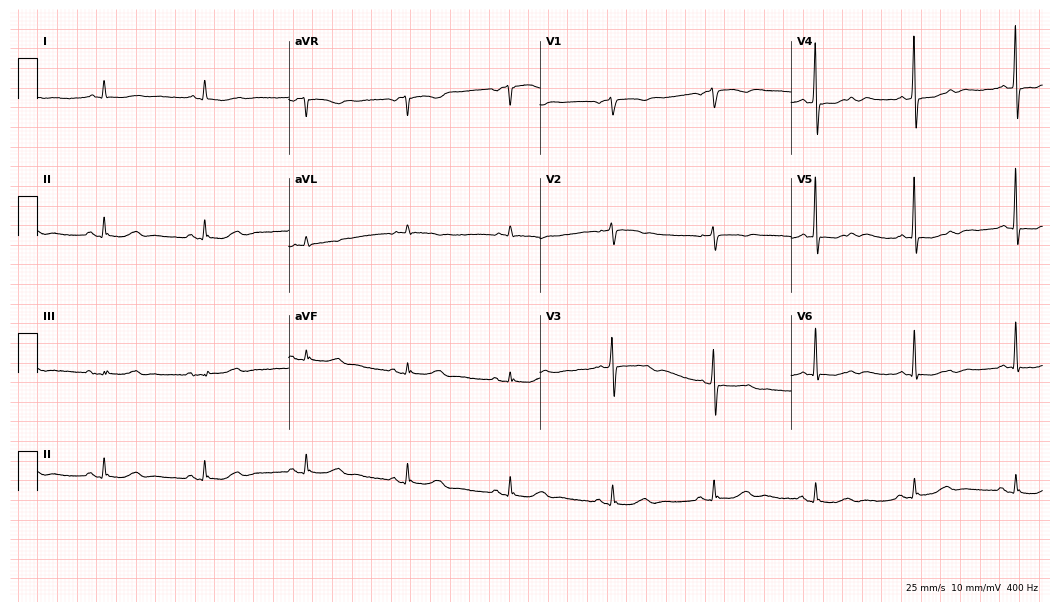
Standard 12-lead ECG recorded from an 80-year-old male. None of these six findings is recorded: first-degree AV block, right bundle branch block, left bundle branch block, sinus bradycardia, atrial fibrillation, sinus tachycardia. Other findings, if any, are not listed.